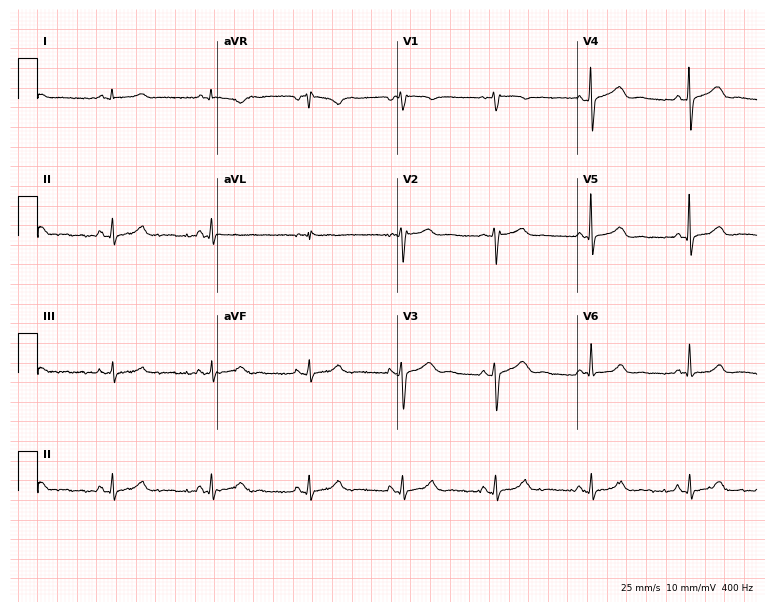
Electrocardiogram (7.3-second recording at 400 Hz), a 56-year-old female patient. Of the six screened findings (first-degree AV block, right bundle branch block, left bundle branch block, sinus bradycardia, atrial fibrillation, sinus tachycardia), none is recorded. Other findings, if any, are not listed.